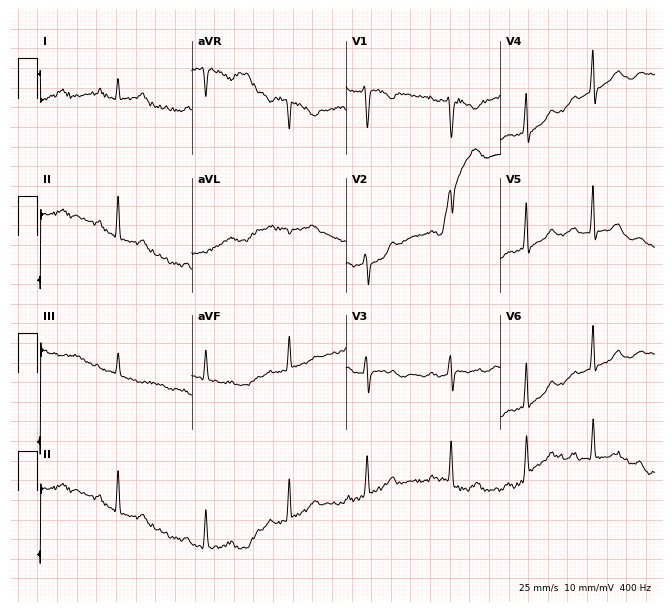
Resting 12-lead electrocardiogram. Patient: a woman, 26 years old. Read as a normal ECG.